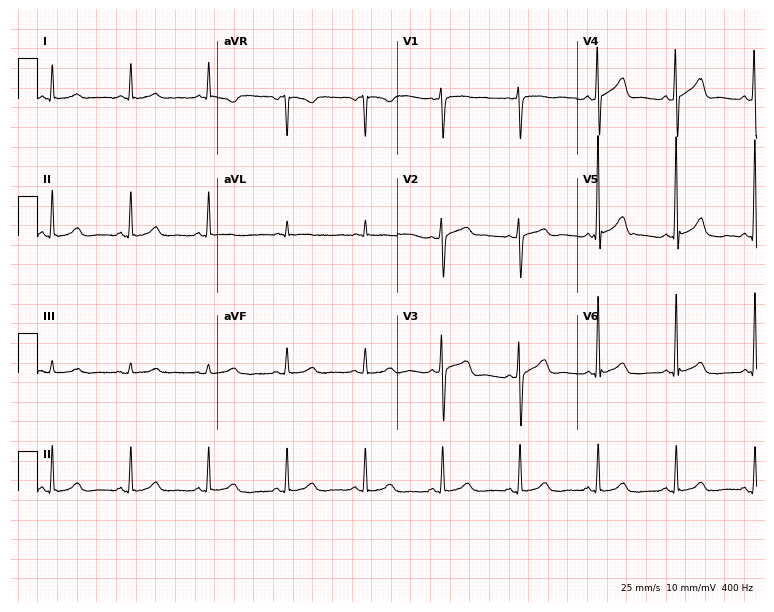
ECG — an 88-year-old woman. Labelled as a normal ECG.